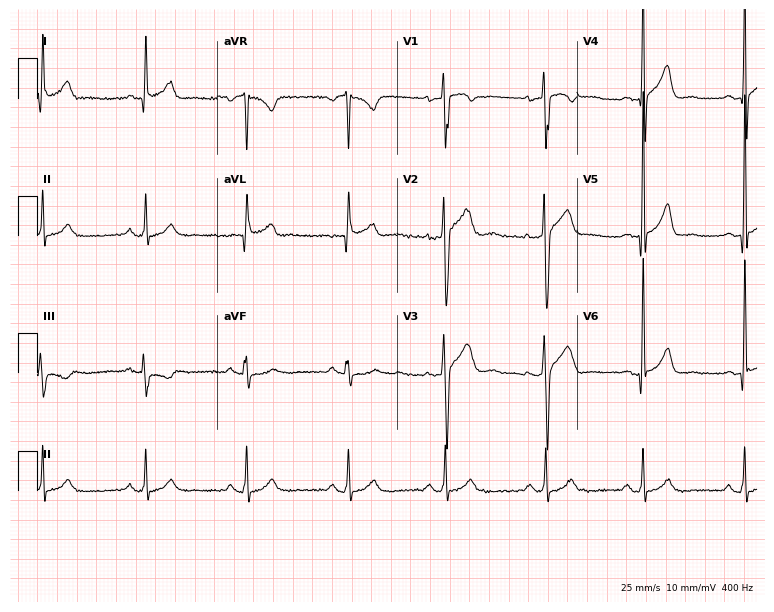
ECG (7.3-second recording at 400 Hz) — a 38-year-old man. Screened for six findings — first-degree AV block, right bundle branch block (RBBB), left bundle branch block (LBBB), sinus bradycardia, atrial fibrillation (AF), sinus tachycardia — none is recorded. Only these six findings were labelled.